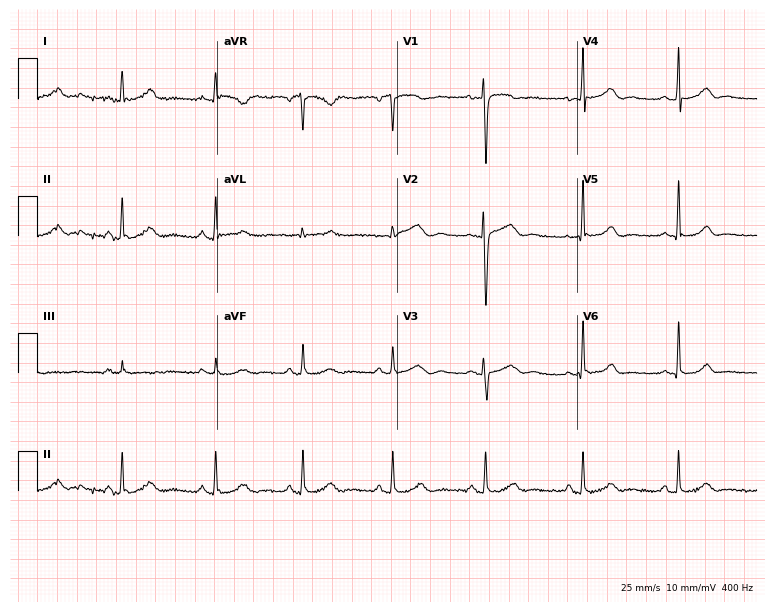
Resting 12-lead electrocardiogram. Patient: a 50-year-old female. None of these six findings is recorded: first-degree AV block, right bundle branch block, left bundle branch block, sinus bradycardia, atrial fibrillation, sinus tachycardia.